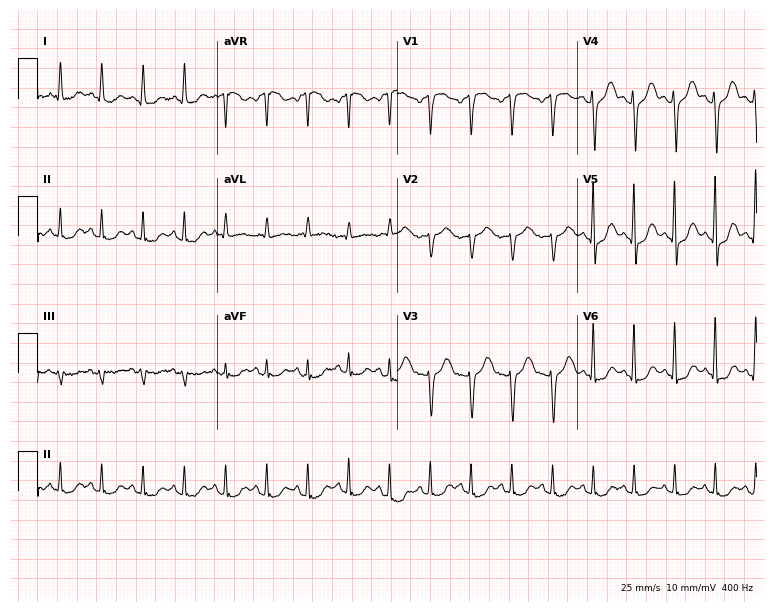
ECG — a 54-year-old female patient. Findings include sinus tachycardia (a sinus rate of 100 beats per minute or more).